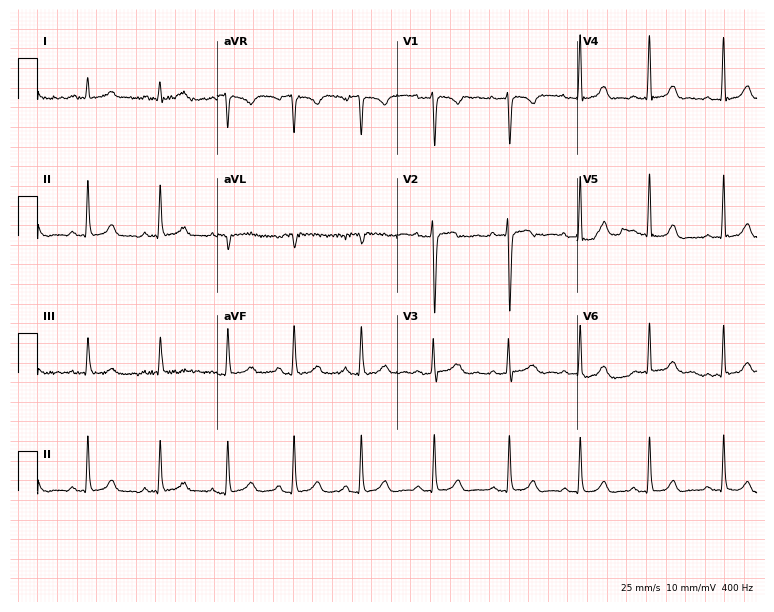
Standard 12-lead ECG recorded from a 32-year-old female patient (7.3-second recording at 400 Hz). None of these six findings is recorded: first-degree AV block, right bundle branch block, left bundle branch block, sinus bradycardia, atrial fibrillation, sinus tachycardia. Findings outside these six are not listed.